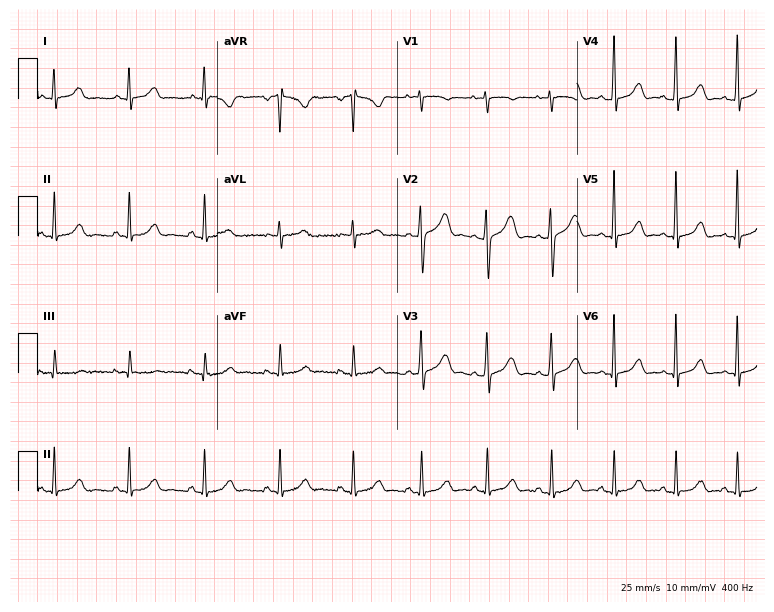
Electrocardiogram, a 33-year-old woman. Overall reading on record: normal ECG.